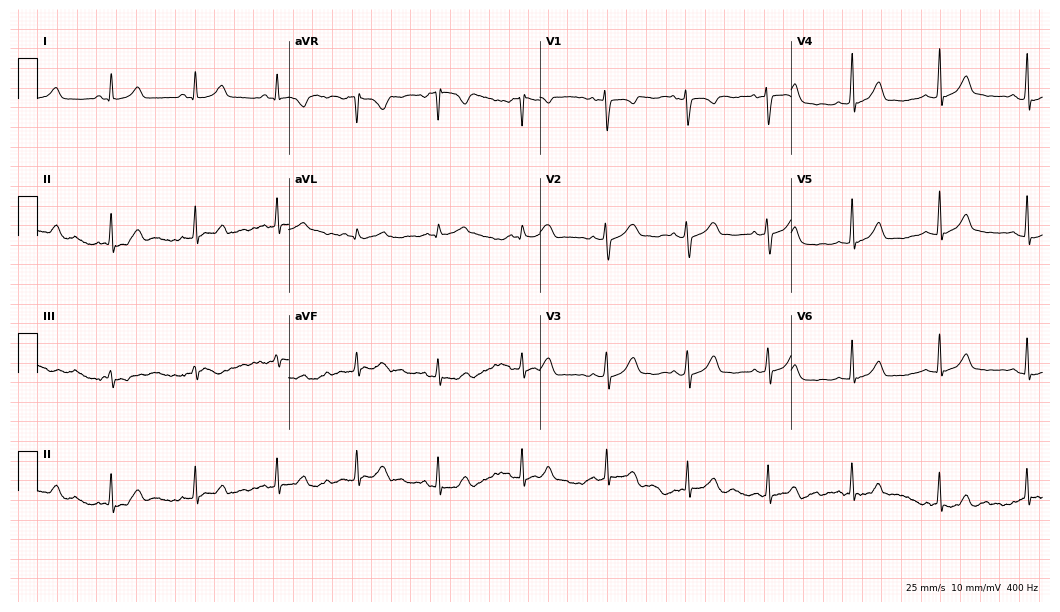
12-lead ECG (10.2-second recording at 400 Hz) from a female, 27 years old. Screened for six findings — first-degree AV block, right bundle branch block (RBBB), left bundle branch block (LBBB), sinus bradycardia, atrial fibrillation (AF), sinus tachycardia — none is recorded.